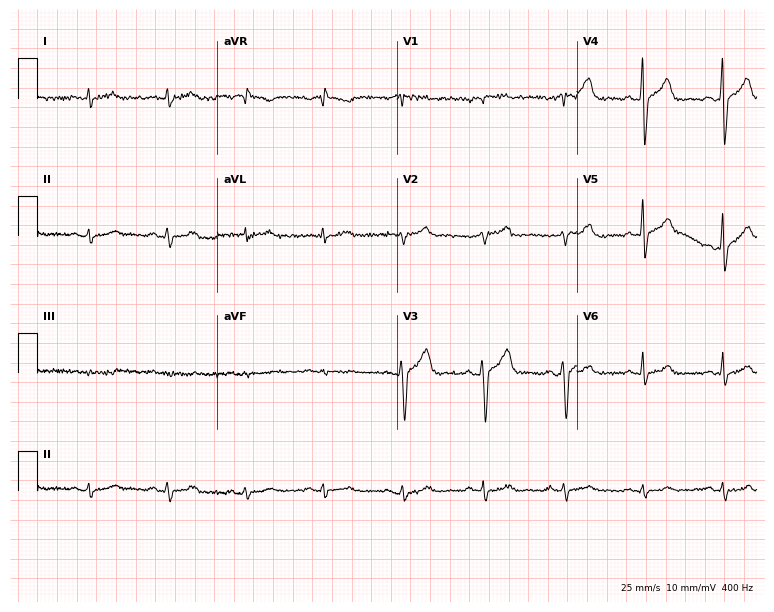
Standard 12-lead ECG recorded from a man, 57 years old (7.3-second recording at 400 Hz). None of these six findings is recorded: first-degree AV block, right bundle branch block, left bundle branch block, sinus bradycardia, atrial fibrillation, sinus tachycardia.